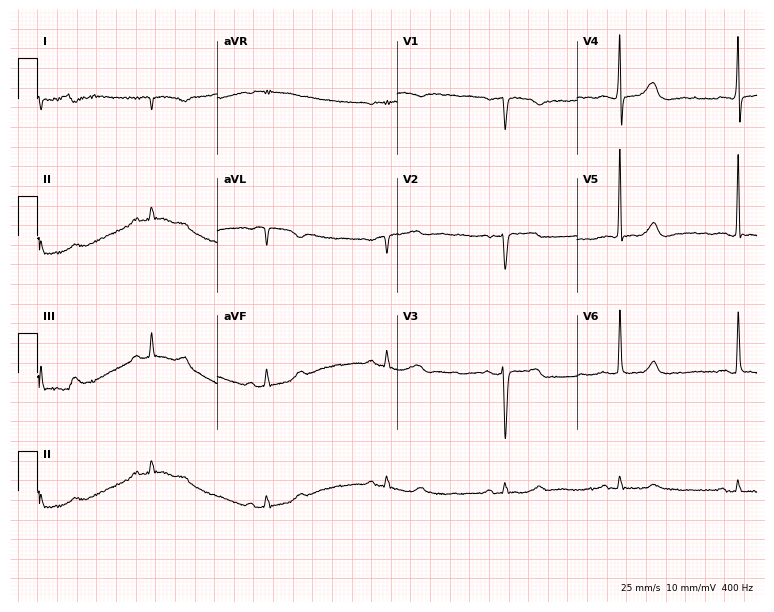
12-lead ECG from an 83-year-old female. Screened for six findings — first-degree AV block, right bundle branch block, left bundle branch block, sinus bradycardia, atrial fibrillation, sinus tachycardia — none is recorded.